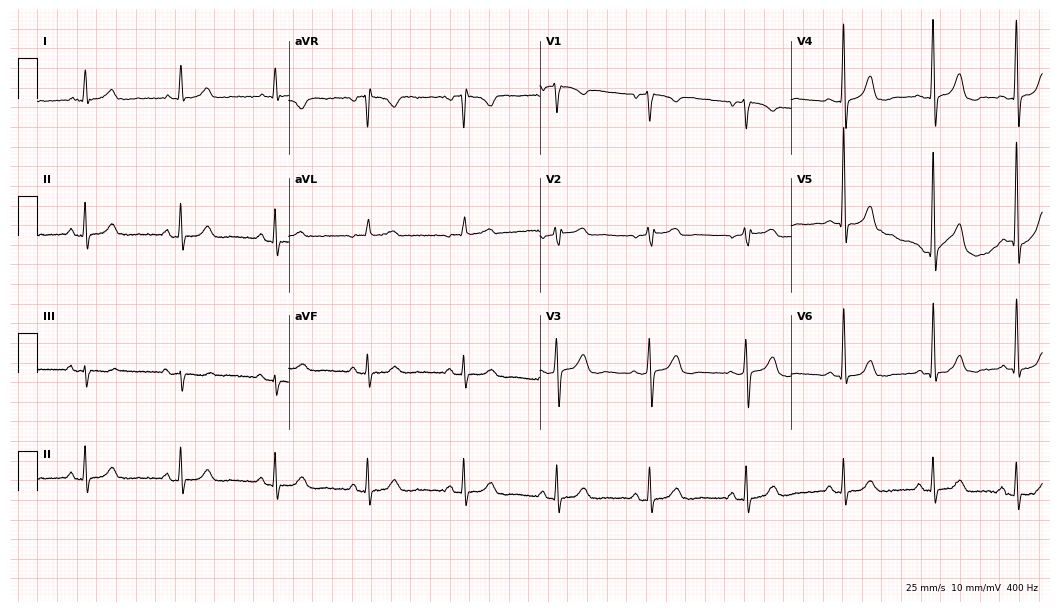
Standard 12-lead ECG recorded from a female patient, 75 years old. None of these six findings is recorded: first-degree AV block, right bundle branch block (RBBB), left bundle branch block (LBBB), sinus bradycardia, atrial fibrillation (AF), sinus tachycardia. Findings outside these six are not listed.